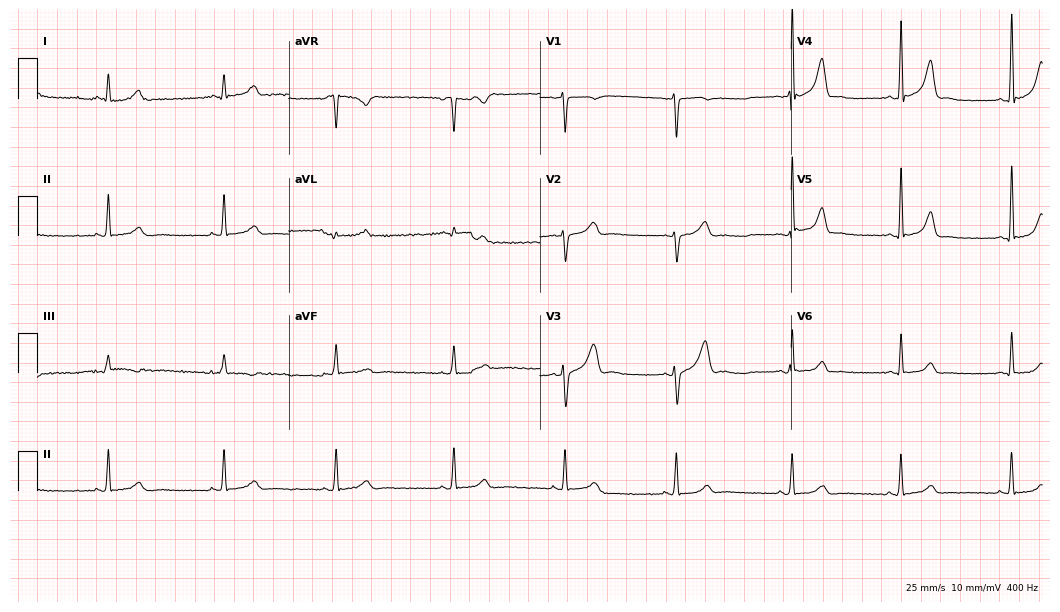
12-lead ECG from a man, 24 years old (10.2-second recording at 400 Hz). No first-degree AV block, right bundle branch block, left bundle branch block, sinus bradycardia, atrial fibrillation or sinus tachycardia recorded for this tracing.